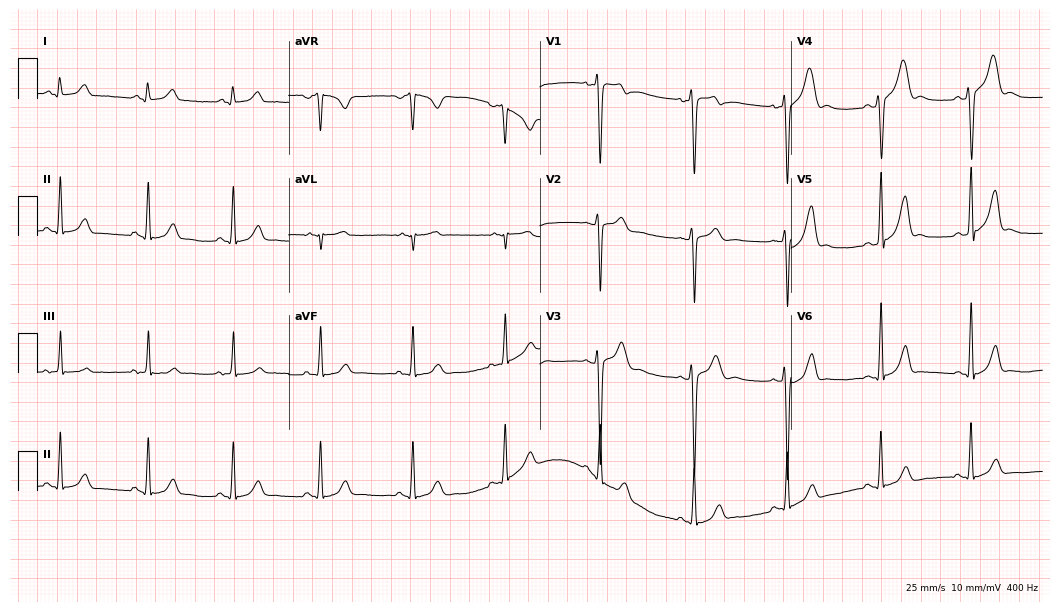
Standard 12-lead ECG recorded from a 26-year-old male. Read as a normal ECG.